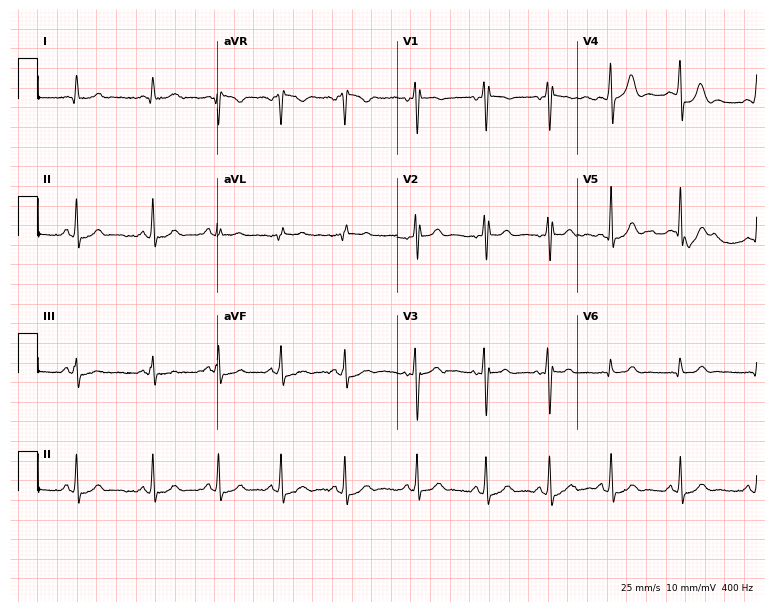
ECG — a woman, 21 years old. Labelled as a normal ECG.